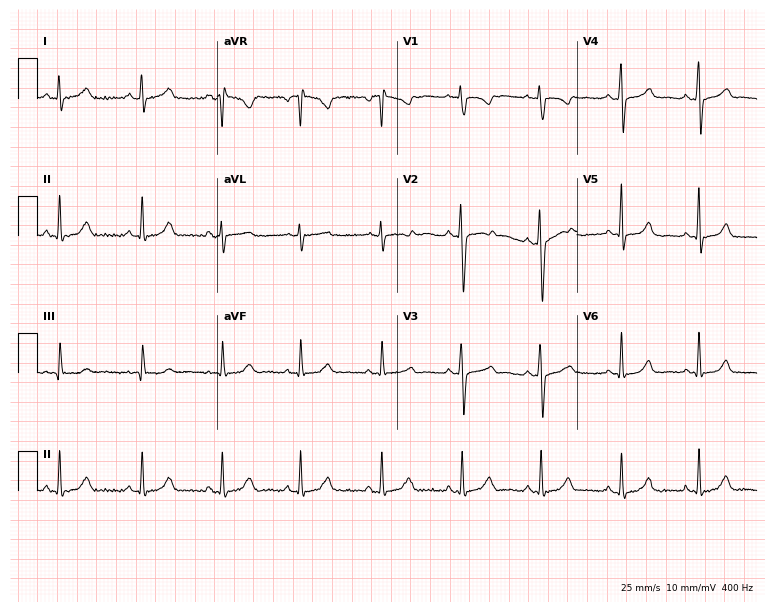
12-lead ECG (7.3-second recording at 400 Hz) from a 28-year-old woman. Screened for six findings — first-degree AV block, right bundle branch block (RBBB), left bundle branch block (LBBB), sinus bradycardia, atrial fibrillation (AF), sinus tachycardia — none is recorded.